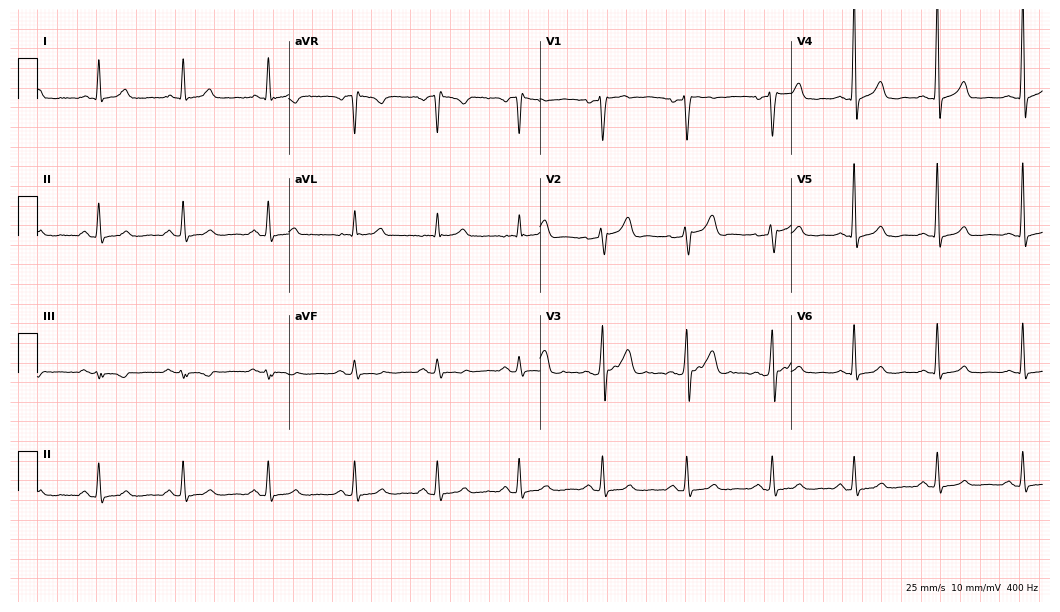
12-lead ECG from a male, 53 years old (10.2-second recording at 400 Hz). Recorded interpretation: within normal limits.